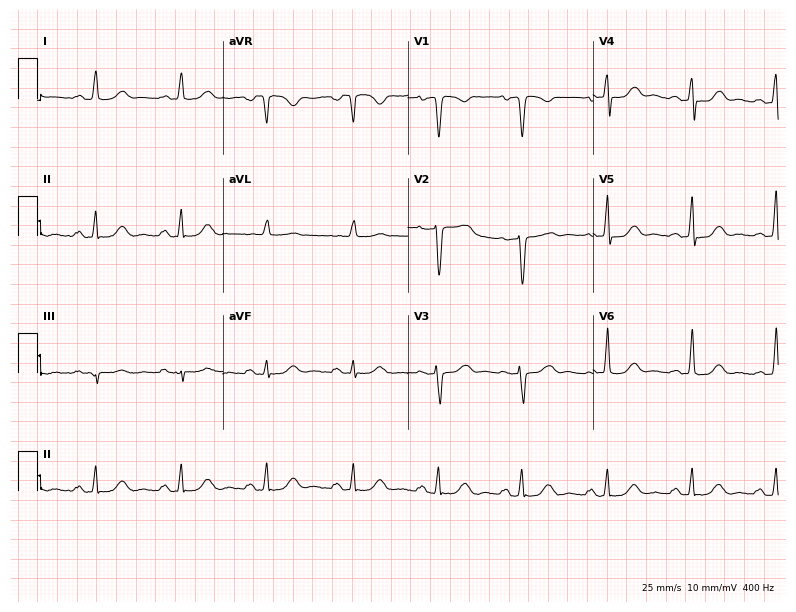
ECG — a female, 70 years old. Screened for six findings — first-degree AV block, right bundle branch block, left bundle branch block, sinus bradycardia, atrial fibrillation, sinus tachycardia — none is recorded.